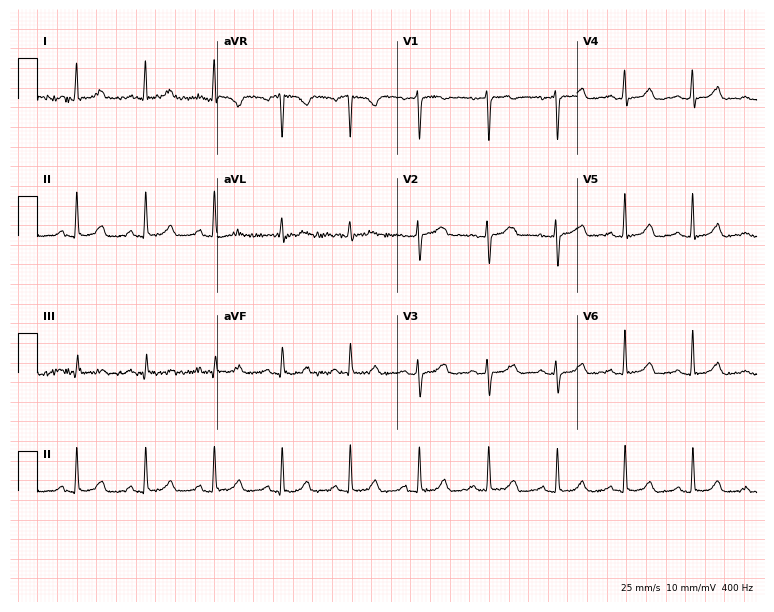
12-lead ECG from a 48-year-old female. Recorded interpretation: within normal limits.